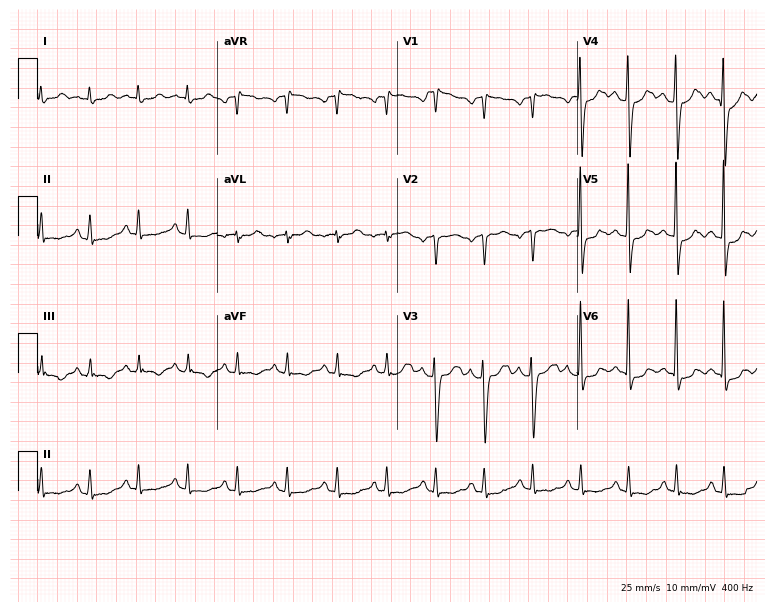
12-lead ECG (7.3-second recording at 400 Hz) from a 56-year-old female. Screened for six findings — first-degree AV block, right bundle branch block, left bundle branch block, sinus bradycardia, atrial fibrillation, sinus tachycardia — none is recorded. Findings outside these six are not listed.